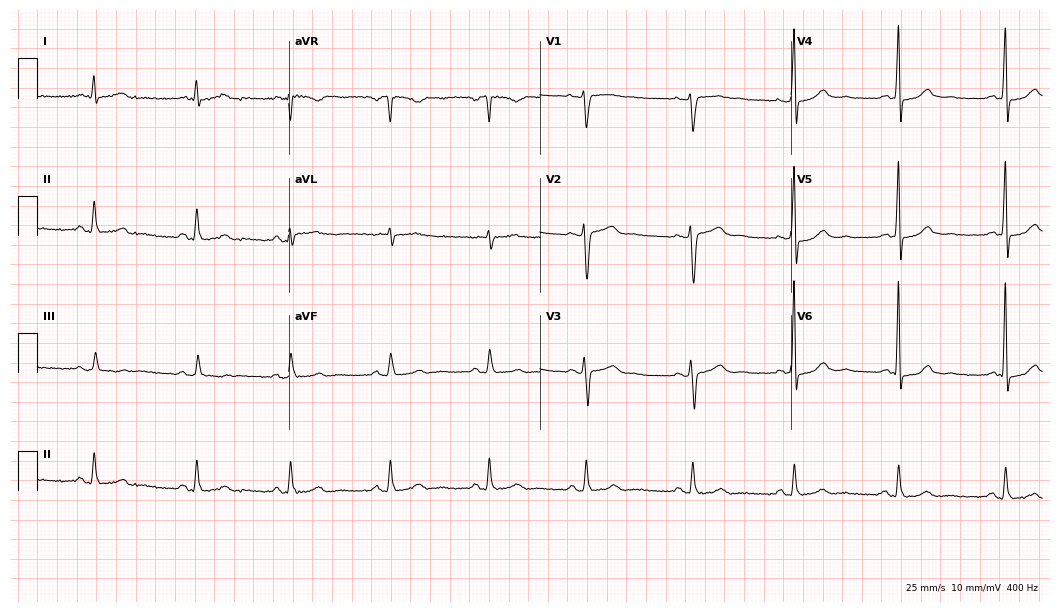
12-lead ECG (10.2-second recording at 400 Hz) from a female, 56 years old. Labelled as a normal ECG.